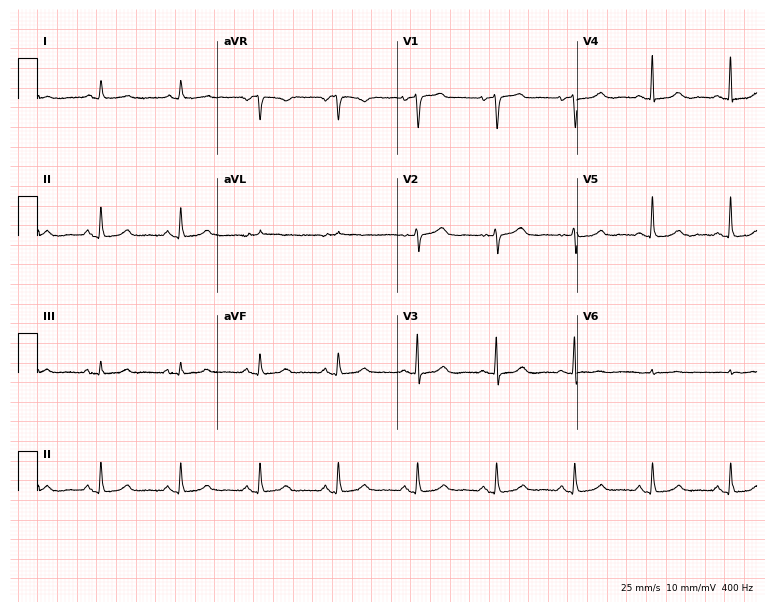
12-lead ECG from a female, 81 years old (7.3-second recording at 400 Hz). No first-degree AV block, right bundle branch block, left bundle branch block, sinus bradycardia, atrial fibrillation or sinus tachycardia recorded for this tracing.